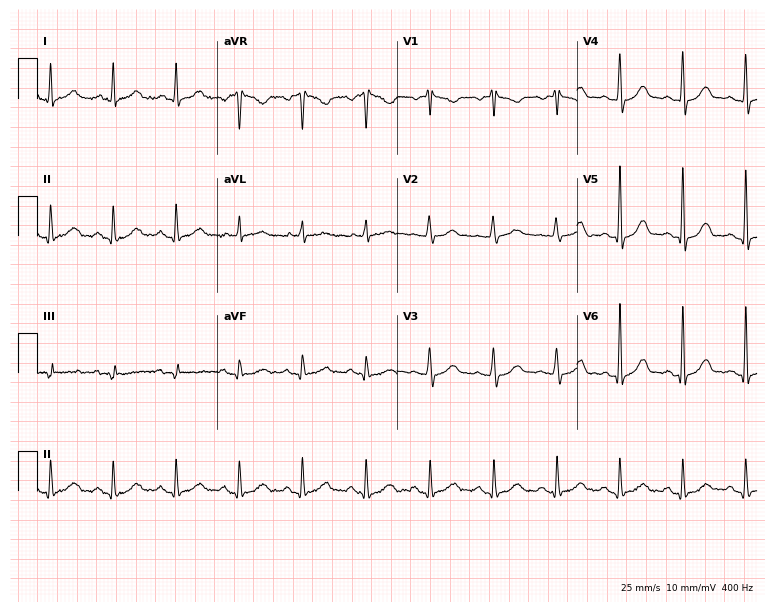
12-lead ECG from a 60-year-old male. Recorded interpretation: within normal limits.